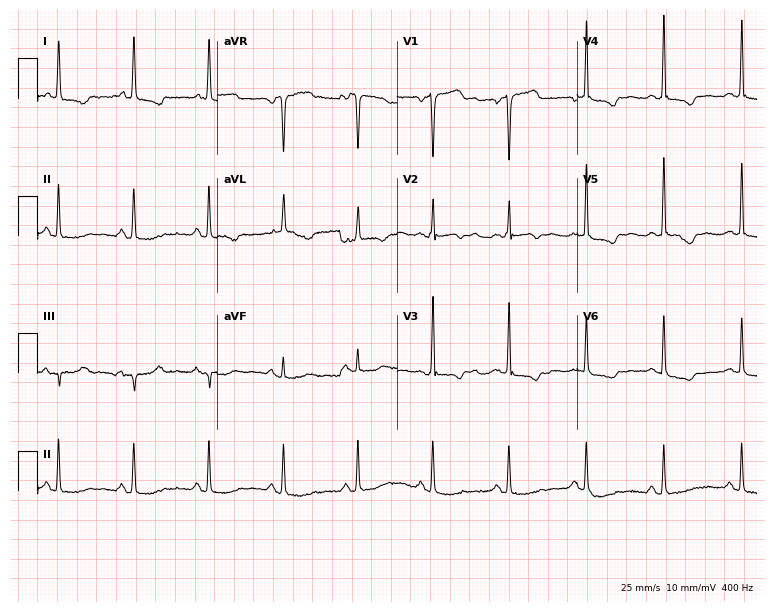
Electrocardiogram (7.3-second recording at 400 Hz), a female patient, 74 years old. Of the six screened findings (first-degree AV block, right bundle branch block (RBBB), left bundle branch block (LBBB), sinus bradycardia, atrial fibrillation (AF), sinus tachycardia), none is recorded. Findings outside these six are not listed.